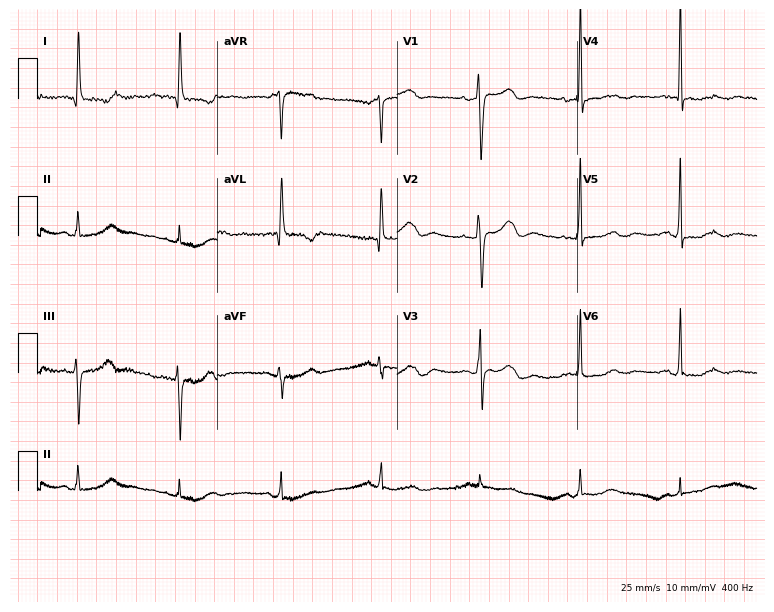
Electrocardiogram, a 69-year-old female patient. Of the six screened findings (first-degree AV block, right bundle branch block, left bundle branch block, sinus bradycardia, atrial fibrillation, sinus tachycardia), none is recorded. Other findings, if any, are not listed.